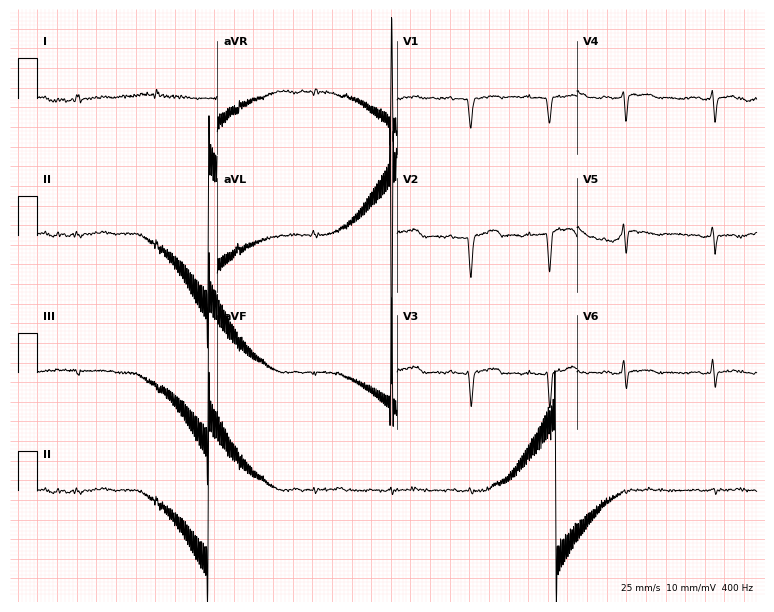
Standard 12-lead ECG recorded from a 61-year-old male patient (7.3-second recording at 400 Hz). None of these six findings is recorded: first-degree AV block, right bundle branch block, left bundle branch block, sinus bradycardia, atrial fibrillation, sinus tachycardia. Only these six findings were labelled.